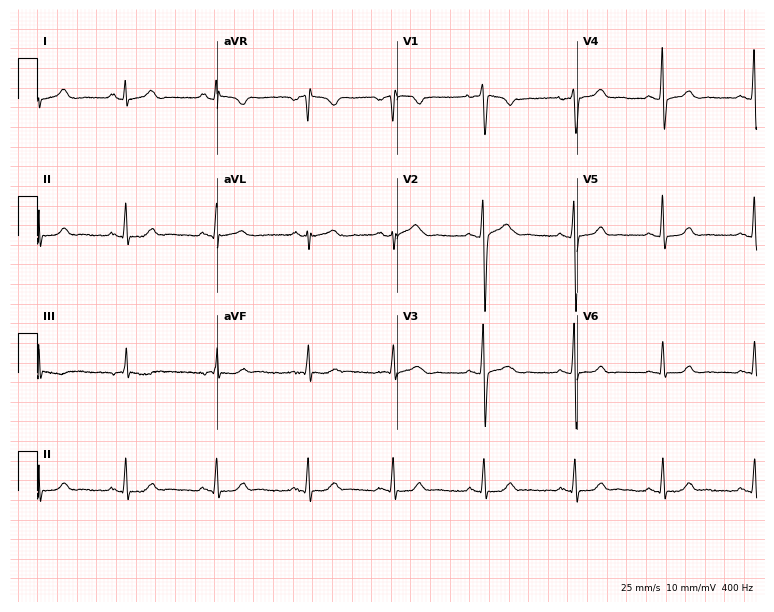
12-lead ECG from a female patient, 24 years old. Labelled as a normal ECG.